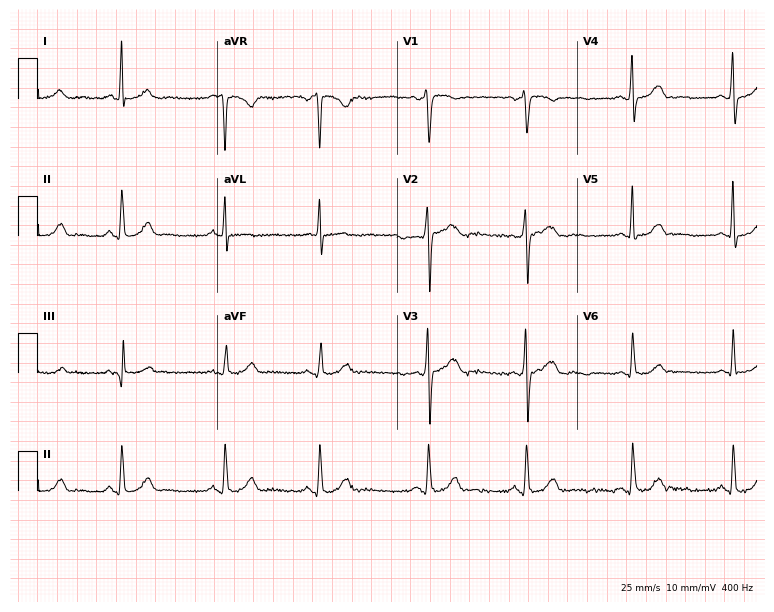
Standard 12-lead ECG recorded from a female, 37 years old (7.3-second recording at 400 Hz). None of these six findings is recorded: first-degree AV block, right bundle branch block, left bundle branch block, sinus bradycardia, atrial fibrillation, sinus tachycardia.